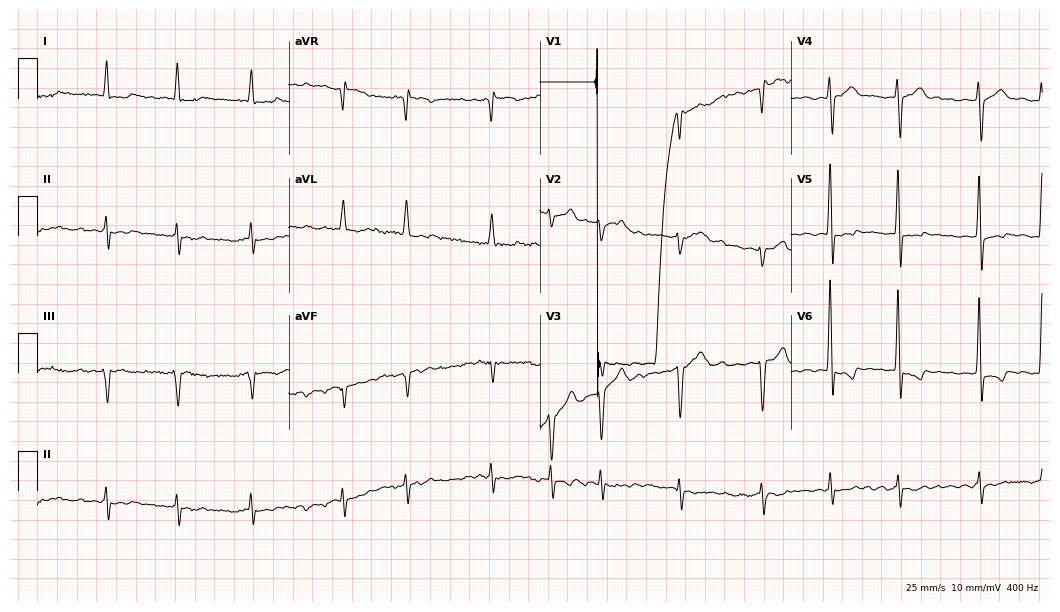
ECG — a 66-year-old man. Screened for six findings — first-degree AV block, right bundle branch block (RBBB), left bundle branch block (LBBB), sinus bradycardia, atrial fibrillation (AF), sinus tachycardia — none is recorded. Other findings, if any, are not listed.